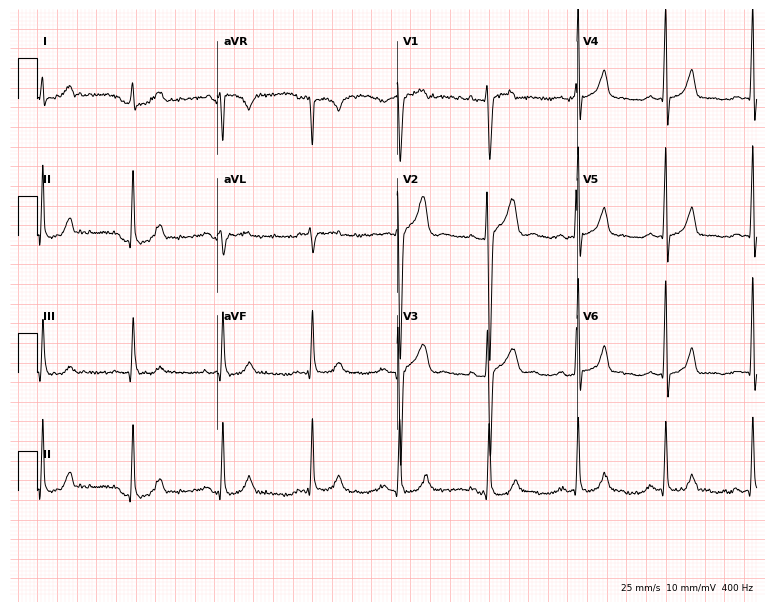
Standard 12-lead ECG recorded from a female patient, 34 years old. Read as a normal ECG.